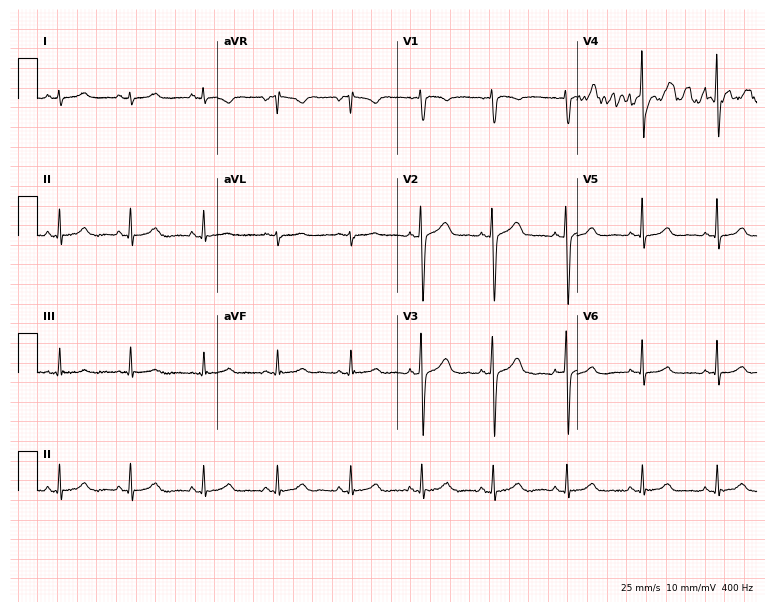
ECG — a 37-year-old woman. Screened for six findings — first-degree AV block, right bundle branch block, left bundle branch block, sinus bradycardia, atrial fibrillation, sinus tachycardia — none is recorded.